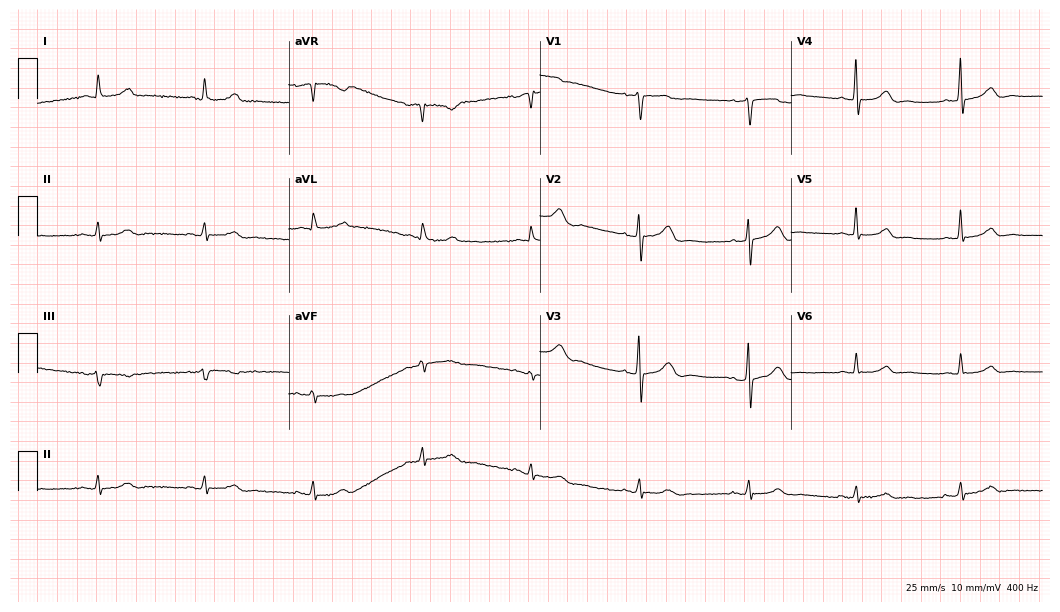
12-lead ECG from a 73-year-old woman (10.2-second recording at 400 Hz). Recorded interpretation: within normal limits.